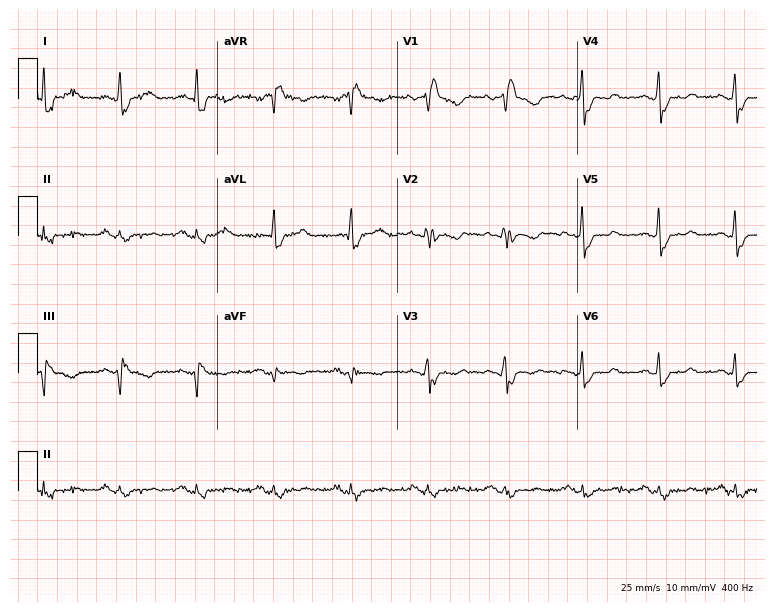
Electrocardiogram, a 52-year-old female patient. Interpretation includes right bundle branch block (RBBB).